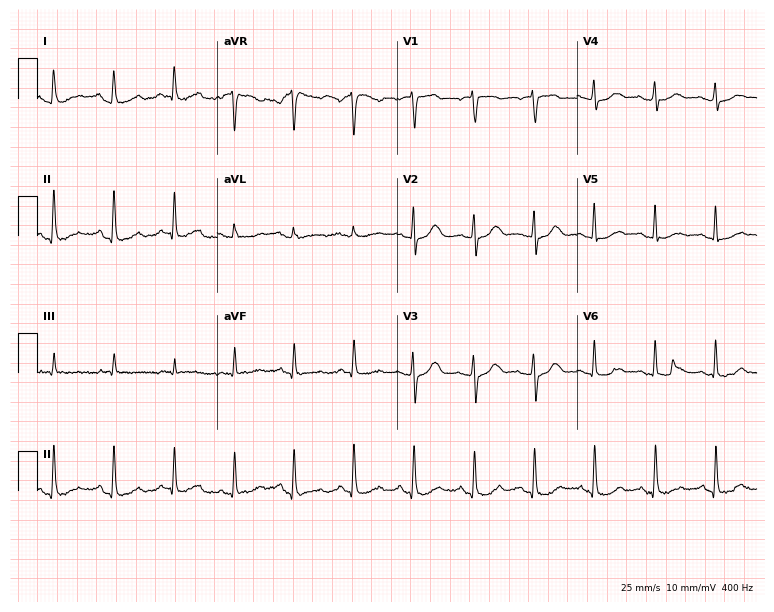
Electrocardiogram (7.3-second recording at 400 Hz), an 84-year-old woman. Of the six screened findings (first-degree AV block, right bundle branch block, left bundle branch block, sinus bradycardia, atrial fibrillation, sinus tachycardia), none is recorded.